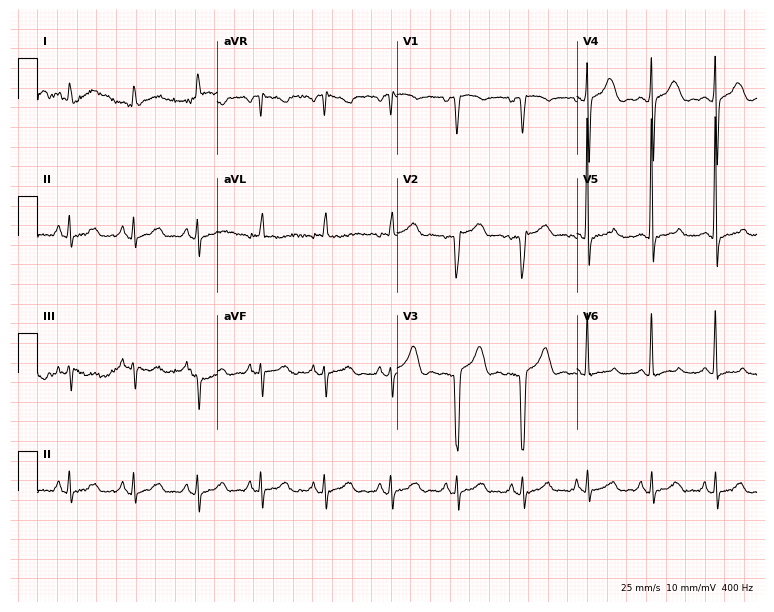
Standard 12-lead ECG recorded from a woman, 76 years old. None of these six findings is recorded: first-degree AV block, right bundle branch block (RBBB), left bundle branch block (LBBB), sinus bradycardia, atrial fibrillation (AF), sinus tachycardia. Findings outside these six are not listed.